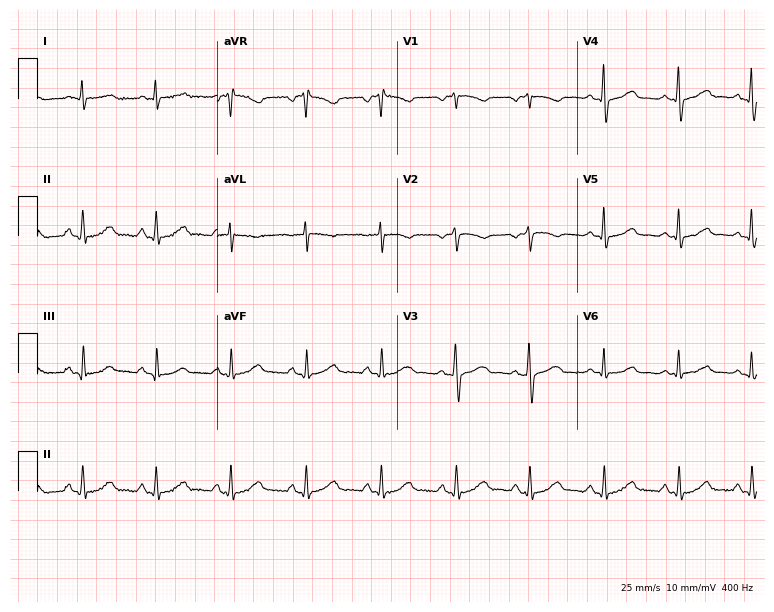
12-lead ECG (7.3-second recording at 400 Hz) from a woman, 56 years old. Labelled as a normal ECG.